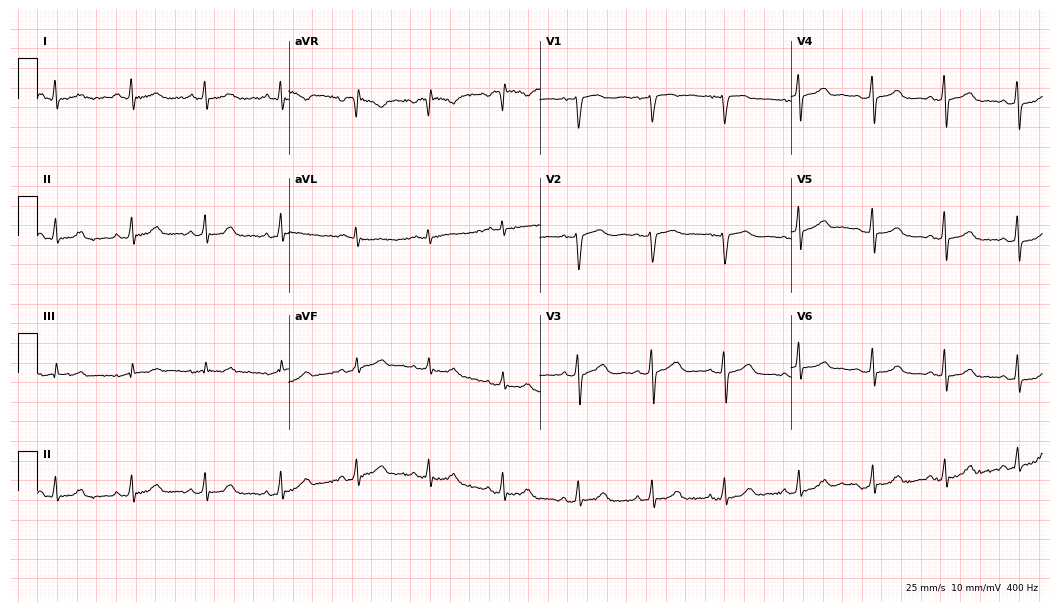
Electrocardiogram (10.2-second recording at 400 Hz), a 33-year-old female. Overall reading on record: normal ECG.